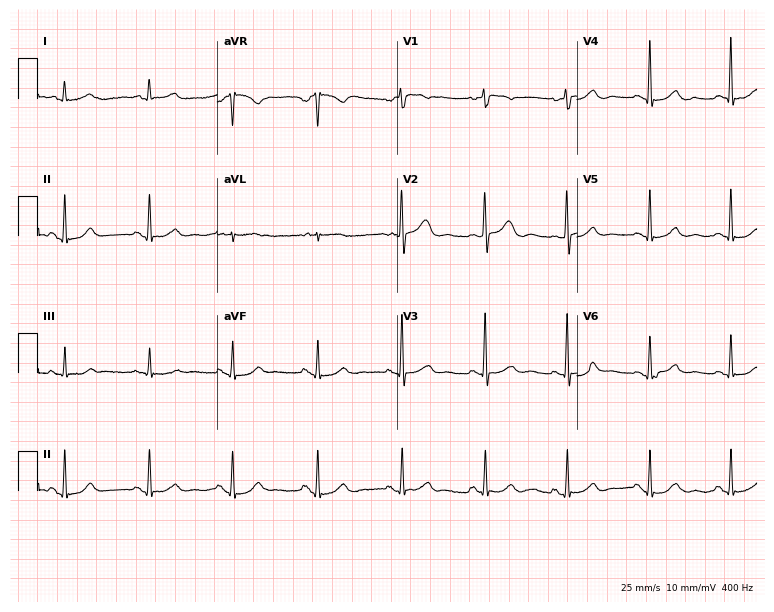
Standard 12-lead ECG recorded from a woman, 65 years old. Read as a normal ECG.